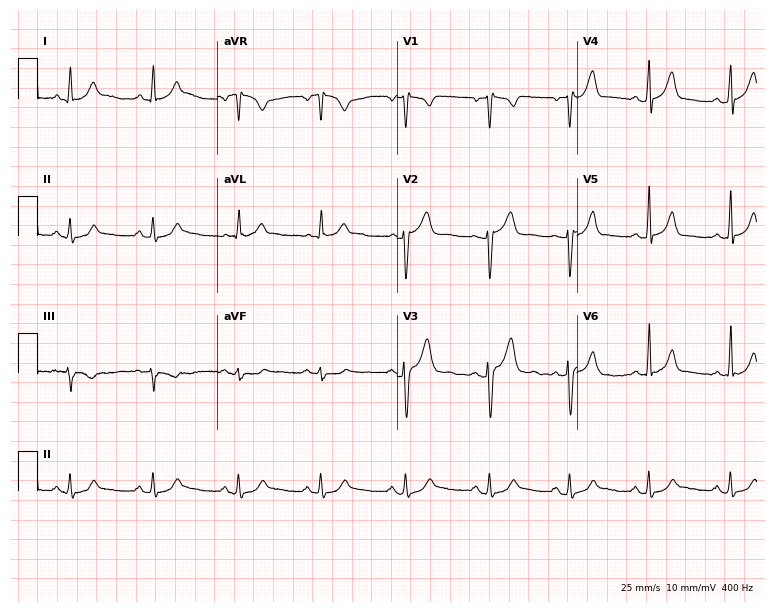
Standard 12-lead ECG recorded from a 30-year-old male. Read as a normal ECG.